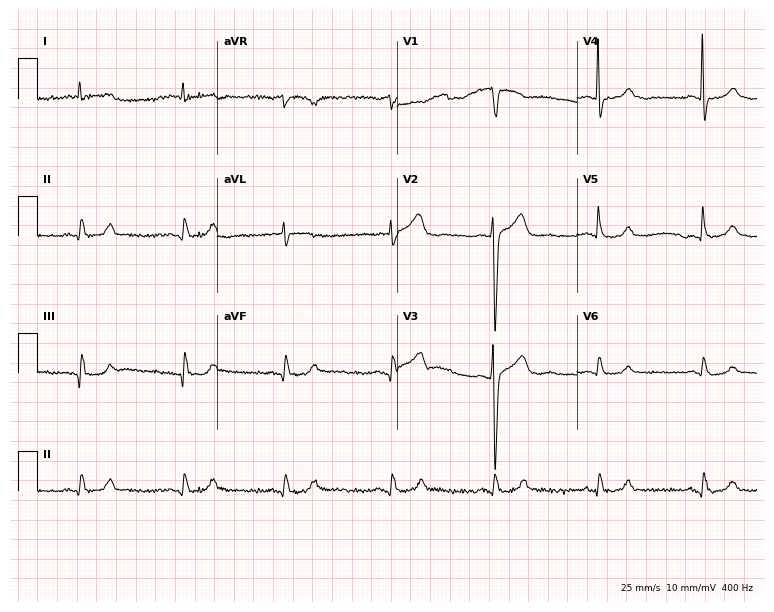
Resting 12-lead electrocardiogram. Patient: a man, 68 years old. Read as a normal ECG.